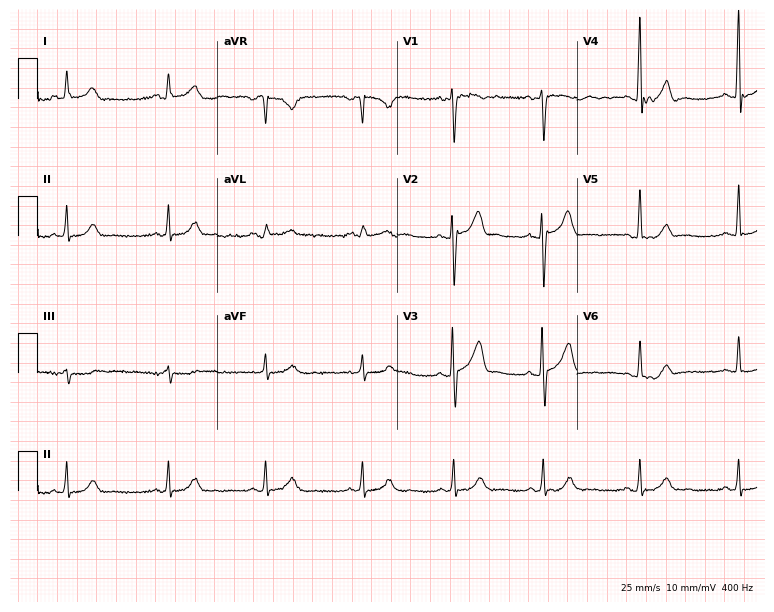
Standard 12-lead ECG recorded from a male, 38 years old. None of these six findings is recorded: first-degree AV block, right bundle branch block (RBBB), left bundle branch block (LBBB), sinus bradycardia, atrial fibrillation (AF), sinus tachycardia. Only these six findings were labelled.